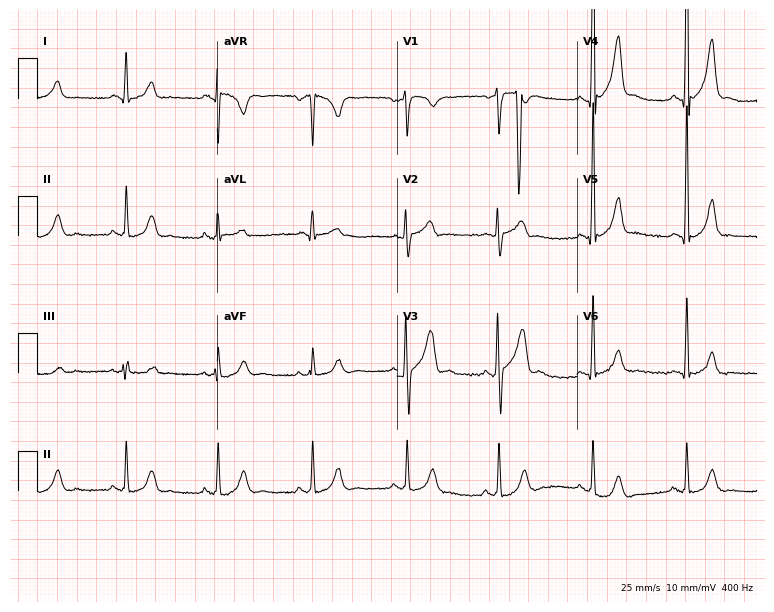
12-lead ECG from a male patient, 18 years old. Labelled as a normal ECG.